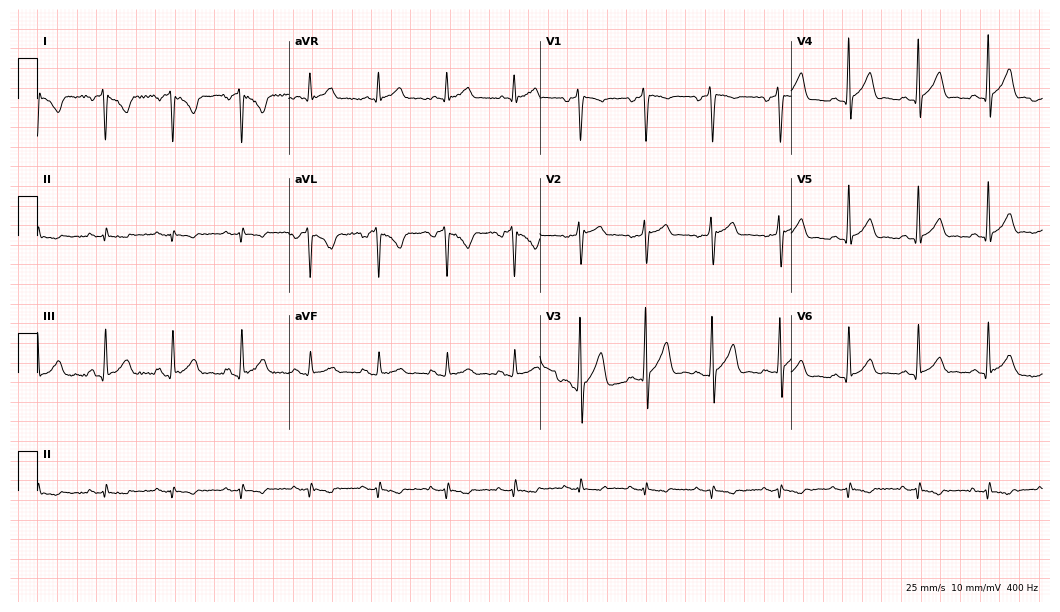
ECG (10.2-second recording at 400 Hz) — a man, 45 years old. Screened for six findings — first-degree AV block, right bundle branch block (RBBB), left bundle branch block (LBBB), sinus bradycardia, atrial fibrillation (AF), sinus tachycardia — none is recorded. Findings outside these six are not listed.